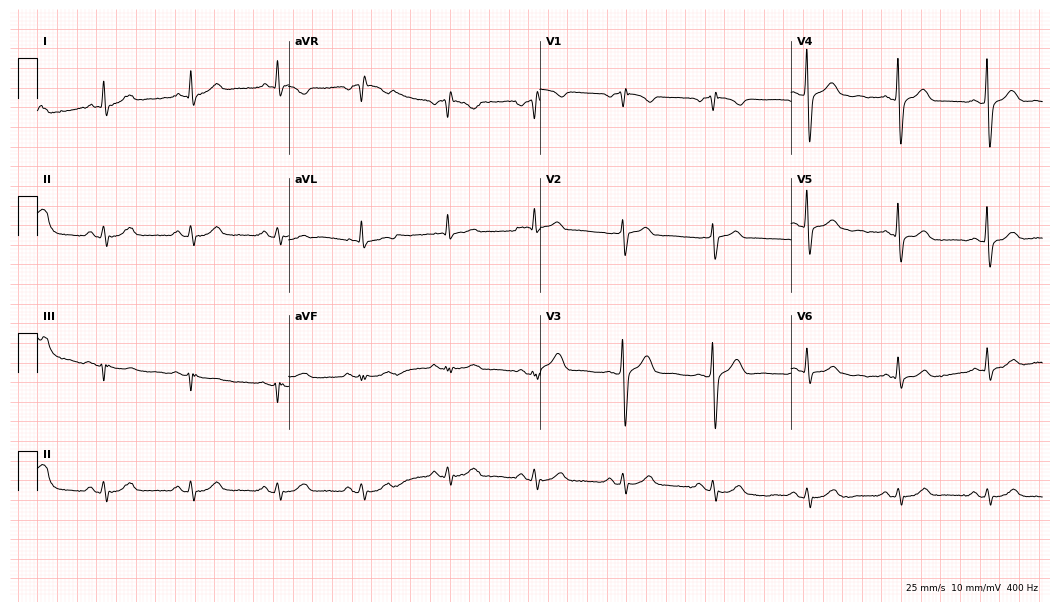
12-lead ECG from a 58-year-old man. No first-degree AV block, right bundle branch block (RBBB), left bundle branch block (LBBB), sinus bradycardia, atrial fibrillation (AF) or sinus tachycardia recorded for this tracing. Findings outside these six are not listed.